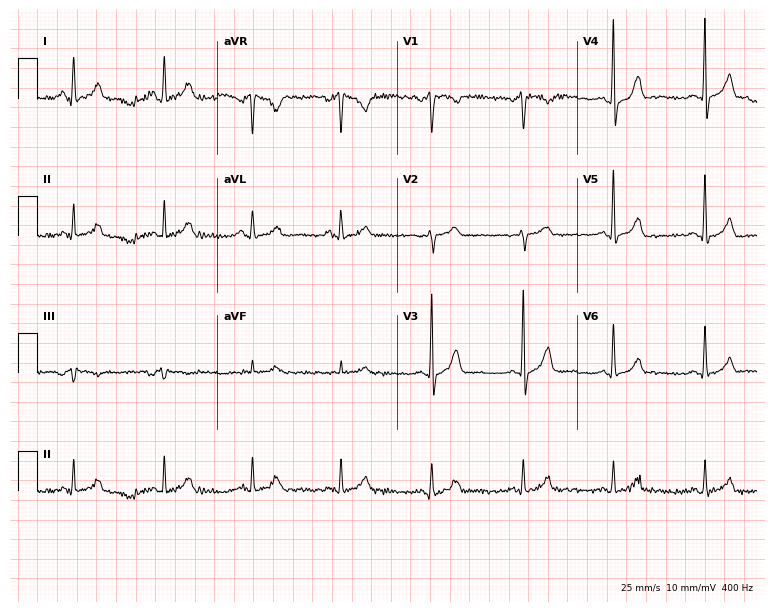
12-lead ECG from a 46-year-old male patient. Recorded interpretation: within normal limits.